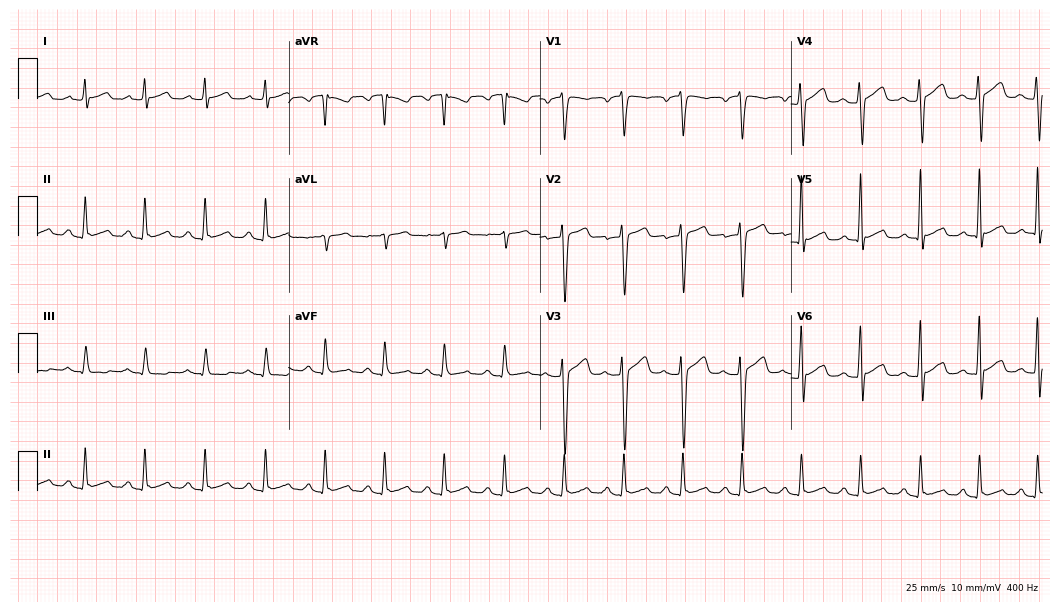
12-lead ECG (10.2-second recording at 400 Hz) from a male, 49 years old. Labelled as a normal ECG.